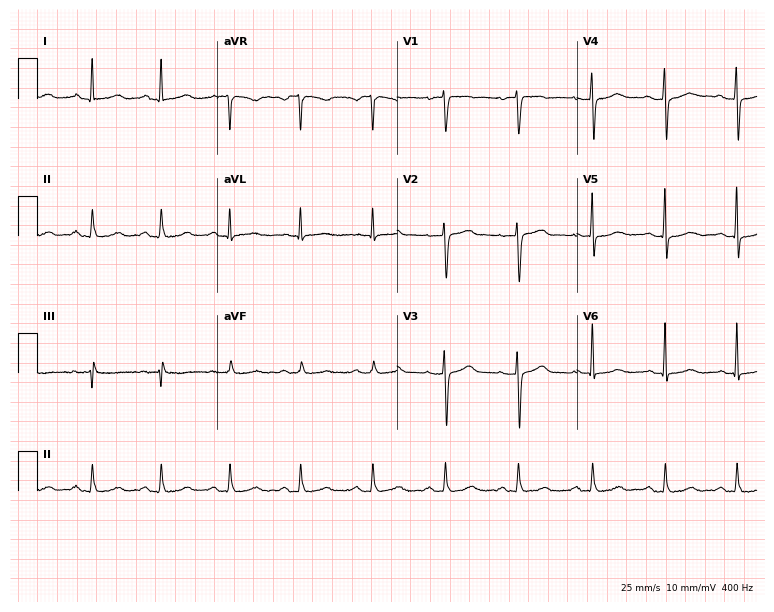
12-lead ECG from a 55-year-old female. No first-degree AV block, right bundle branch block (RBBB), left bundle branch block (LBBB), sinus bradycardia, atrial fibrillation (AF) or sinus tachycardia recorded for this tracing.